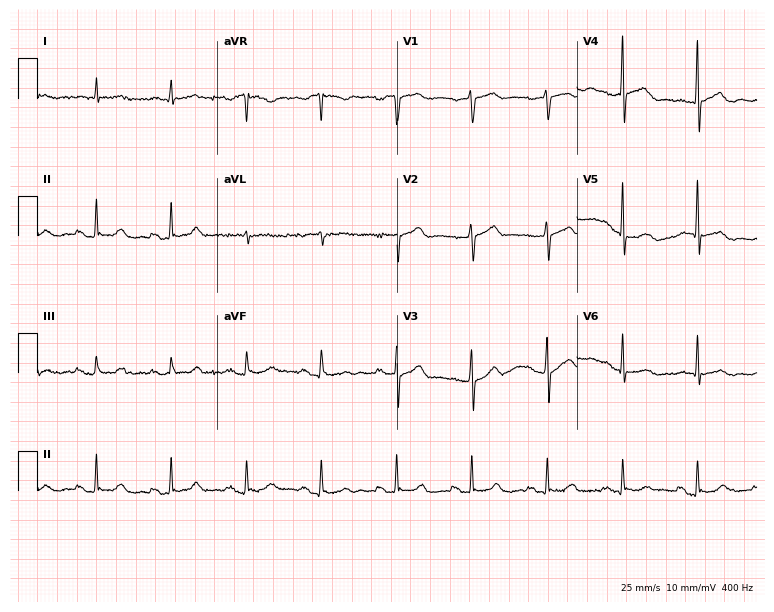
Electrocardiogram, a 71-year-old male patient. Of the six screened findings (first-degree AV block, right bundle branch block, left bundle branch block, sinus bradycardia, atrial fibrillation, sinus tachycardia), none is recorded. Findings outside these six are not listed.